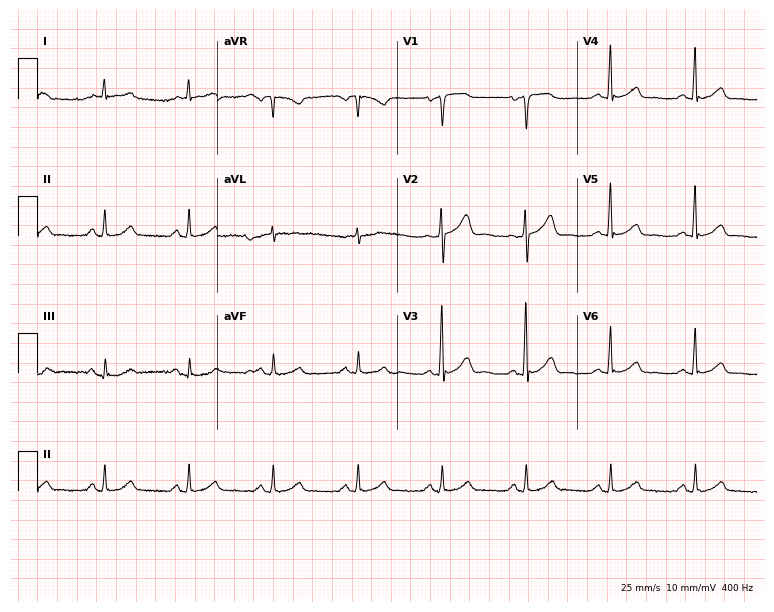
12-lead ECG (7.3-second recording at 400 Hz) from a male patient, 57 years old. Labelled as a normal ECG.